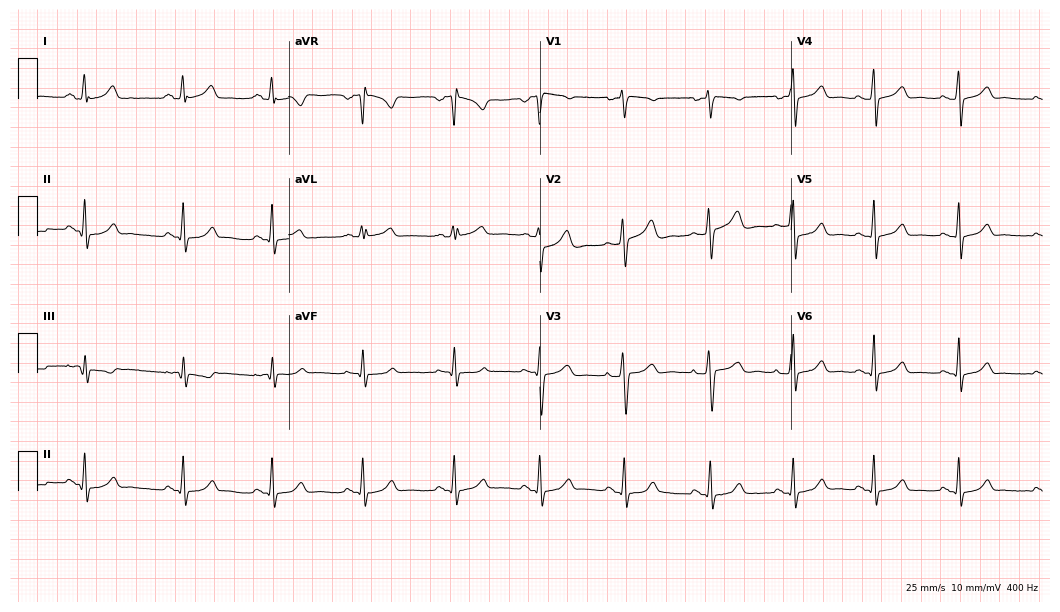
12-lead ECG from a 28-year-old female patient. Labelled as a normal ECG.